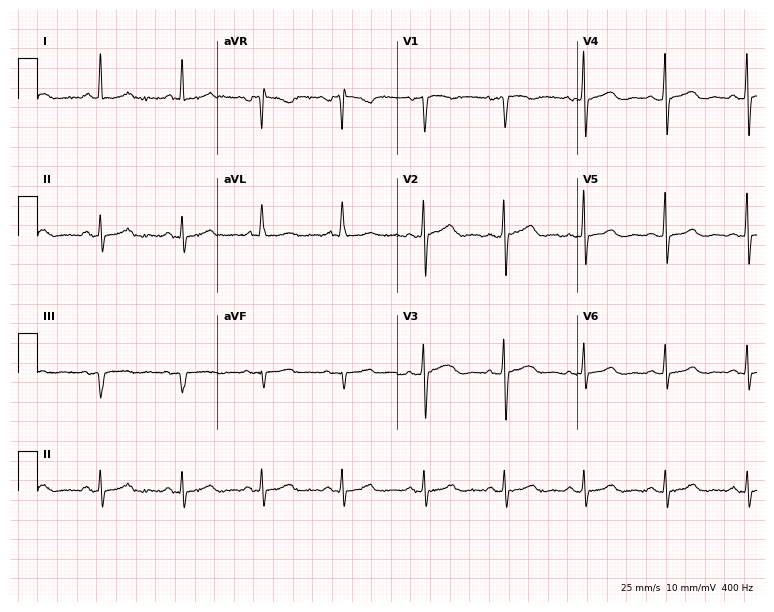
ECG — a female, 60 years old. Labelled as a normal ECG.